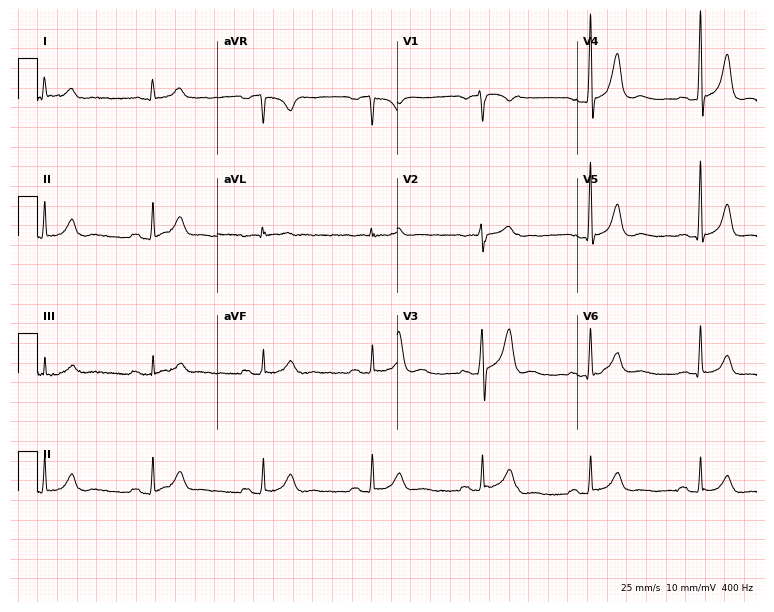
12-lead ECG from a male patient, 63 years old (7.3-second recording at 400 Hz). Recorded interpretation: within normal limits.